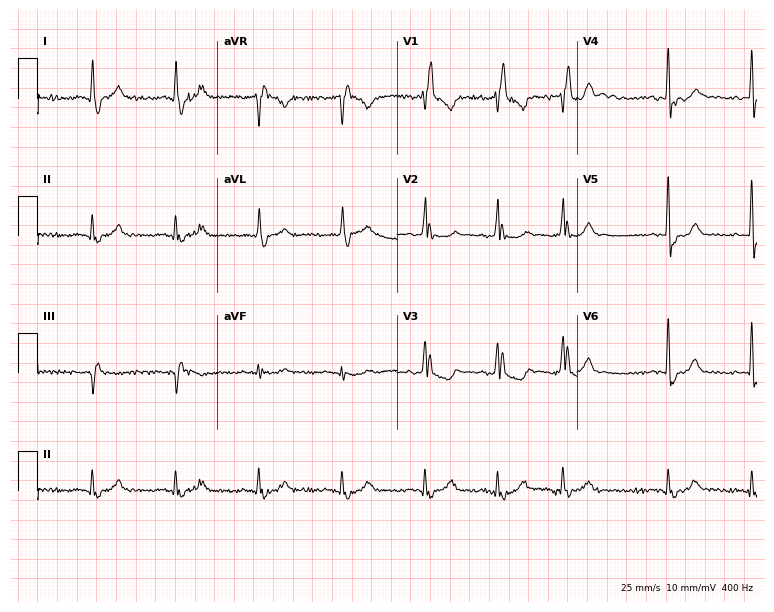
12-lead ECG from a 76-year-old male. Findings include right bundle branch block, atrial fibrillation.